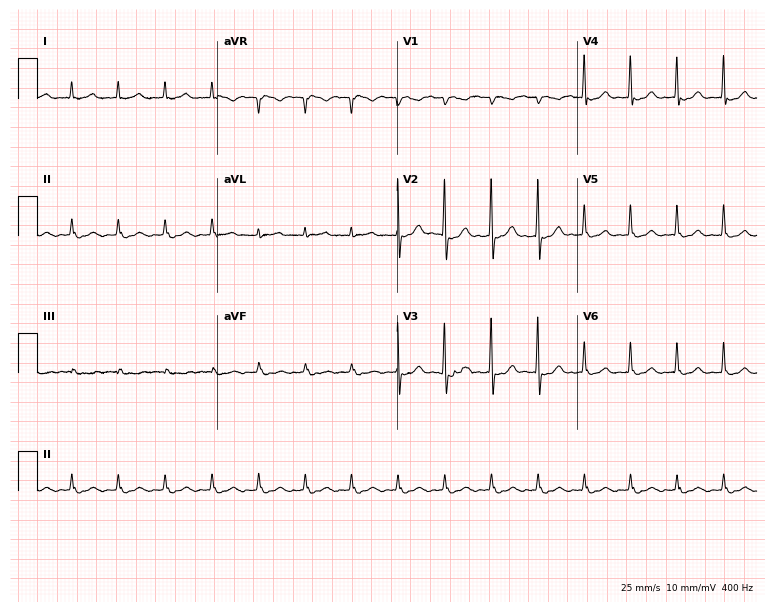
Standard 12-lead ECG recorded from an 82-year-old female patient (7.3-second recording at 400 Hz). None of these six findings is recorded: first-degree AV block, right bundle branch block, left bundle branch block, sinus bradycardia, atrial fibrillation, sinus tachycardia.